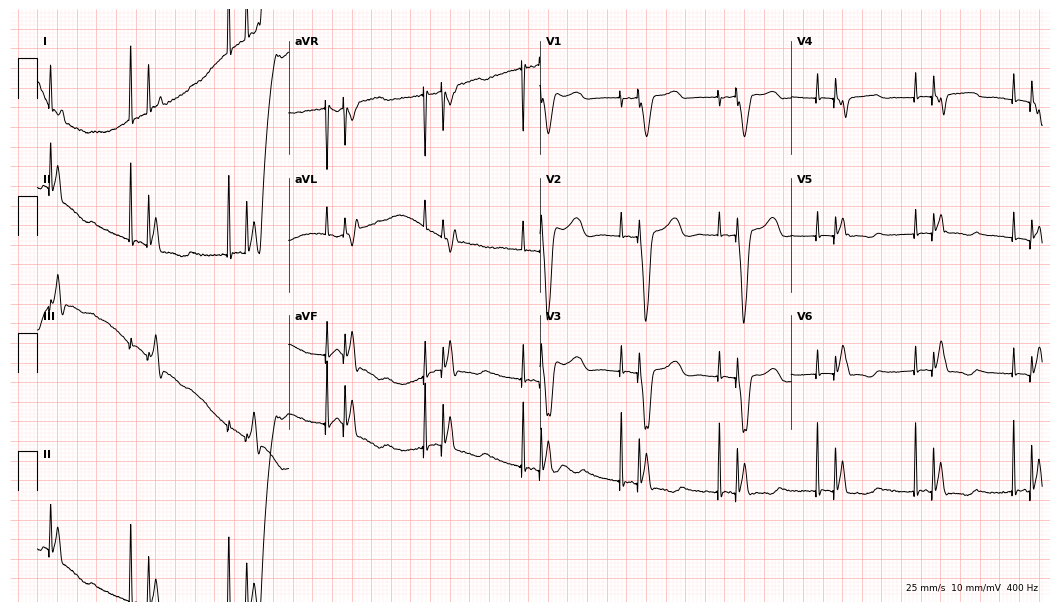
ECG — a female, 78 years old. Screened for six findings — first-degree AV block, right bundle branch block, left bundle branch block, sinus bradycardia, atrial fibrillation, sinus tachycardia — none is recorded. Other findings, if any, are not listed.